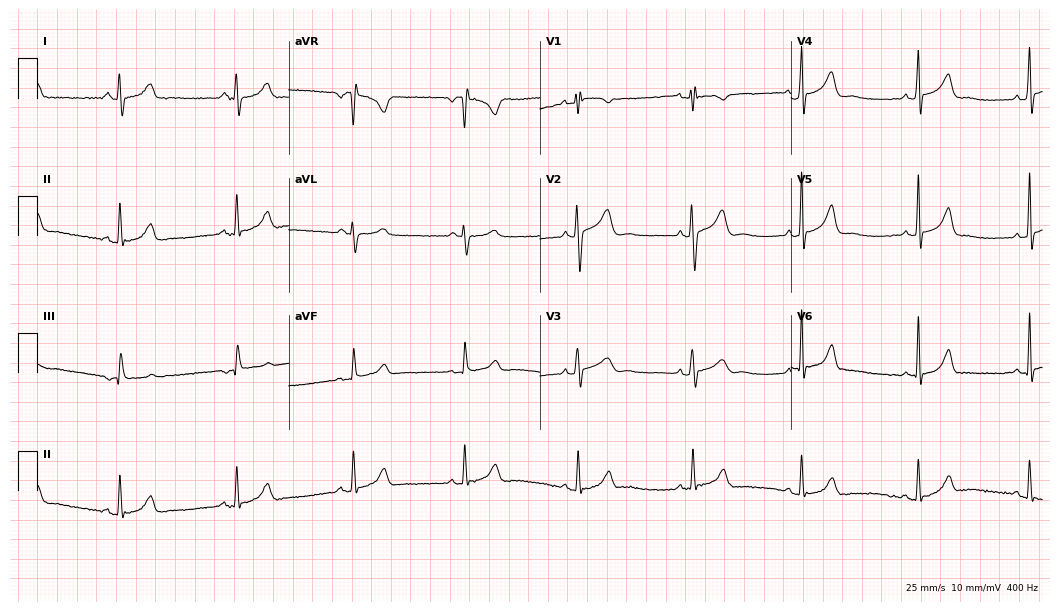
12-lead ECG from a woman, 22 years old (10.2-second recording at 400 Hz). No first-degree AV block, right bundle branch block, left bundle branch block, sinus bradycardia, atrial fibrillation or sinus tachycardia recorded for this tracing.